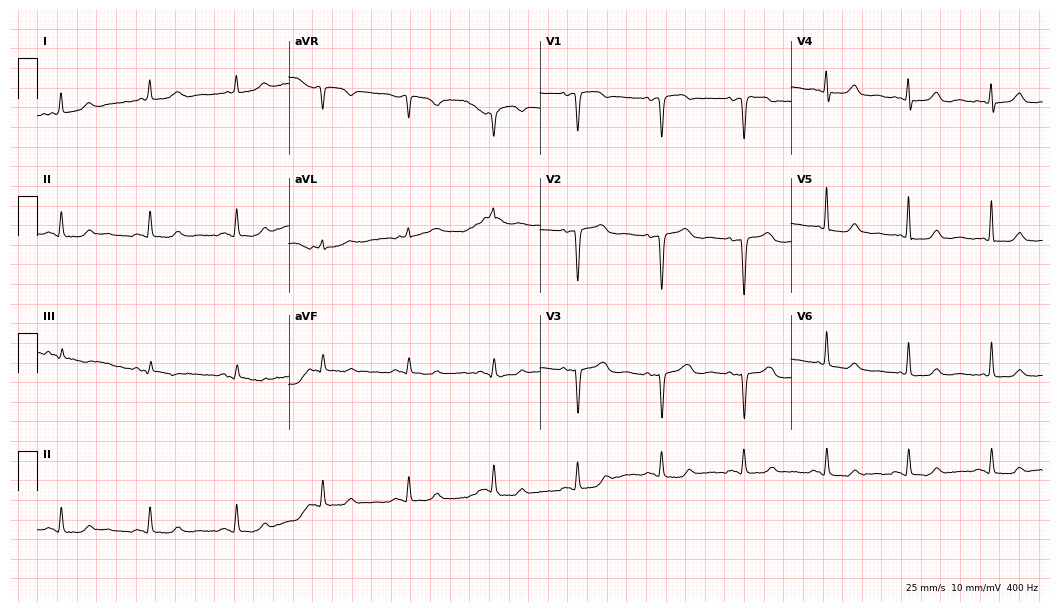
Electrocardiogram (10.2-second recording at 400 Hz), a 70-year-old female patient. Of the six screened findings (first-degree AV block, right bundle branch block (RBBB), left bundle branch block (LBBB), sinus bradycardia, atrial fibrillation (AF), sinus tachycardia), none is recorded. Findings outside these six are not listed.